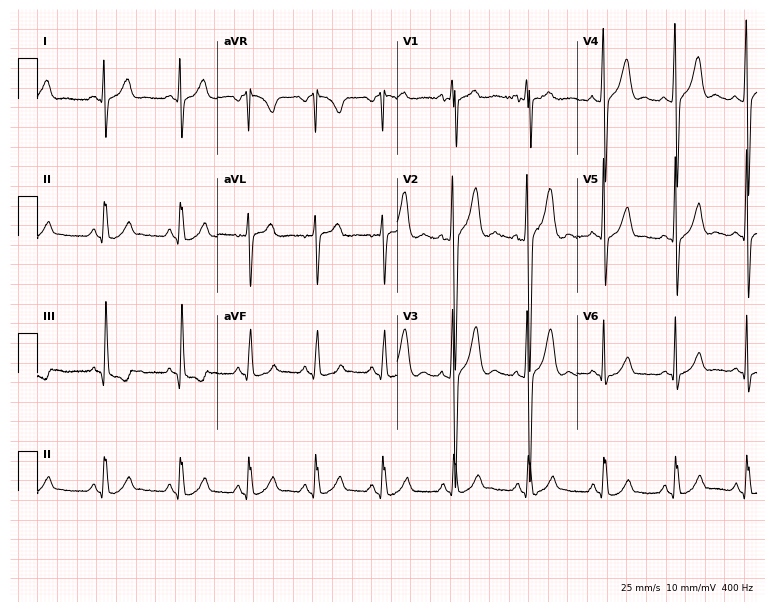
ECG (7.3-second recording at 400 Hz) — a 20-year-old man. Screened for six findings — first-degree AV block, right bundle branch block, left bundle branch block, sinus bradycardia, atrial fibrillation, sinus tachycardia — none is recorded. Only these six findings were labelled.